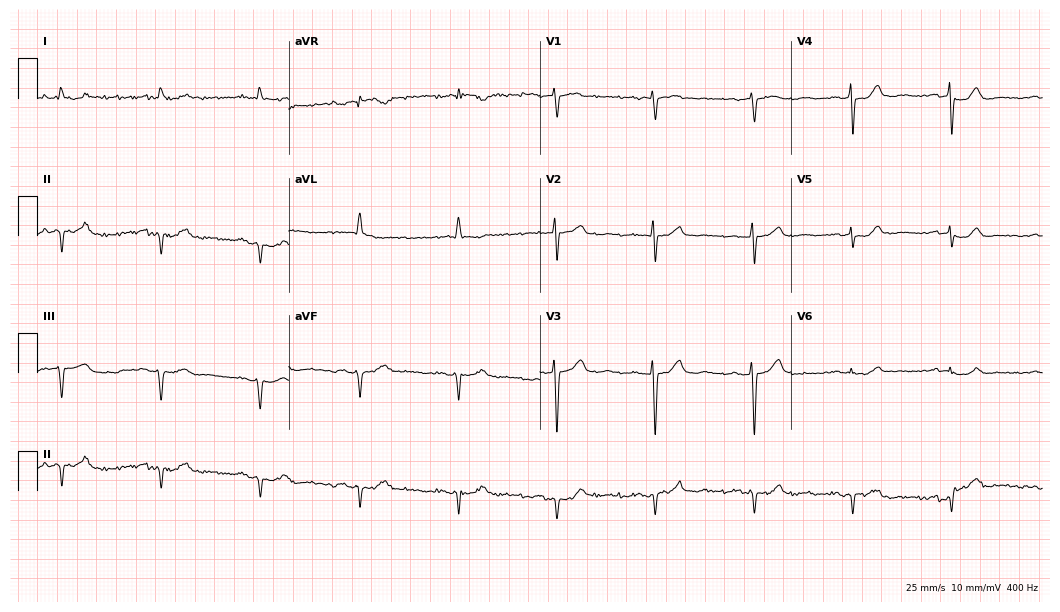
ECG (10.2-second recording at 400 Hz) — a woman, 82 years old. Screened for six findings — first-degree AV block, right bundle branch block, left bundle branch block, sinus bradycardia, atrial fibrillation, sinus tachycardia — none is recorded. Only these six findings were labelled.